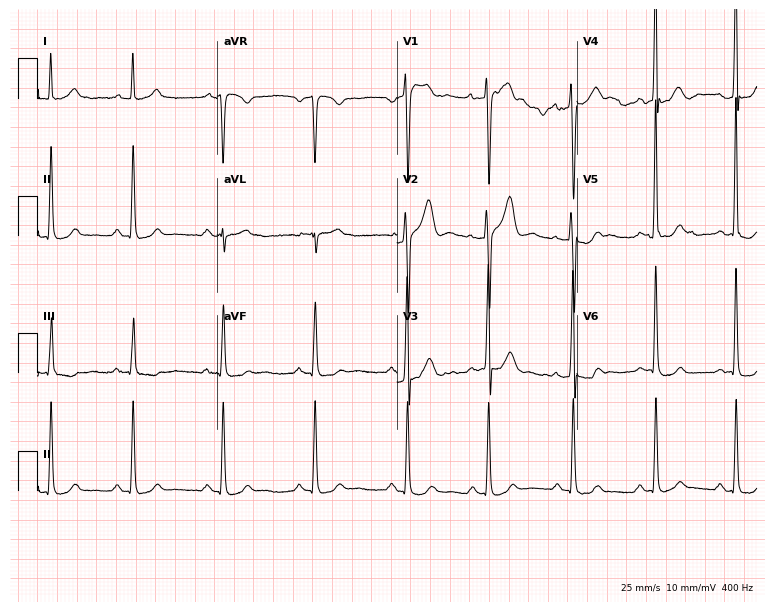
ECG — a 39-year-old male. Screened for six findings — first-degree AV block, right bundle branch block, left bundle branch block, sinus bradycardia, atrial fibrillation, sinus tachycardia — none is recorded. Findings outside these six are not listed.